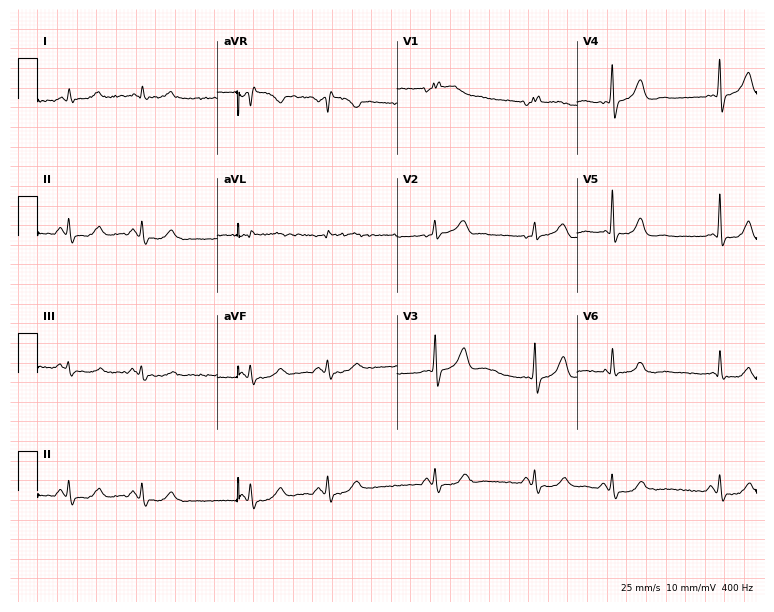
12-lead ECG from a man, 74 years old. No first-degree AV block, right bundle branch block, left bundle branch block, sinus bradycardia, atrial fibrillation or sinus tachycardia recorded for this tracing. Only these six findings were labelled.